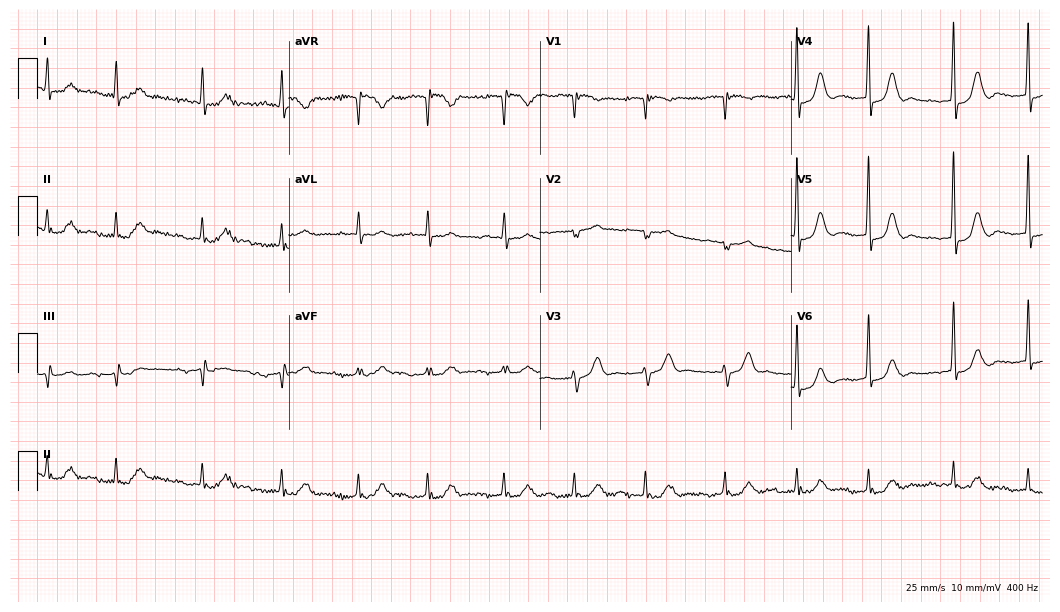
Electrocardiogram (10.2-second recording at 400 Hz), a 79-year-old woman. Of the six screened findings (first-degree AV block, right bundle branch block, left bundle branch block, sinus bradycardia, atrial fibrillation, sinus tachycardia), none is recorded. Other findings, if any, are not listed.